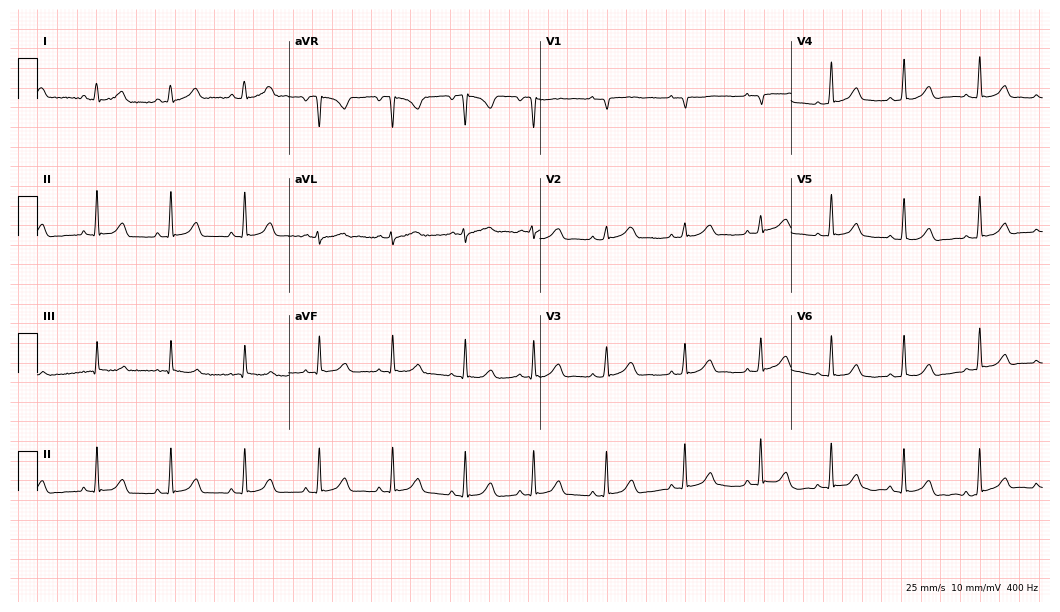
12-lead ECG from a woman, 21 years old. Recorded interpretation: within normal limits.